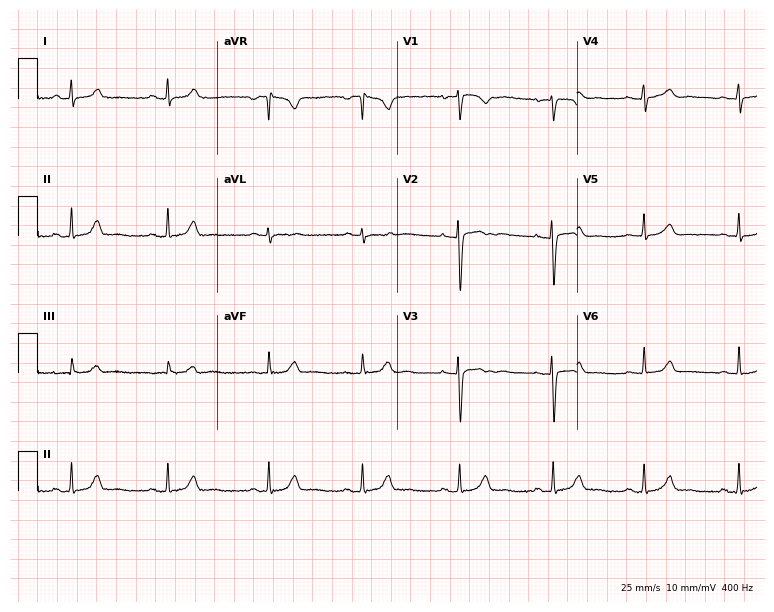
12-lead ECG from a 30-year-old female. Recorded interpretation: within normal limits.